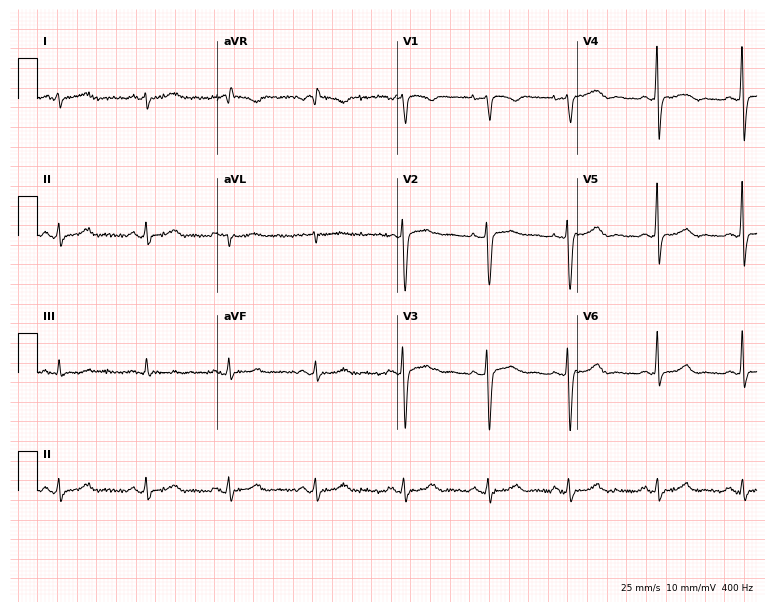
12-lead ECG from a female patient, 36 years old (7.3-second recording at 400 Hz). Recorded interpretation: within normal limits.